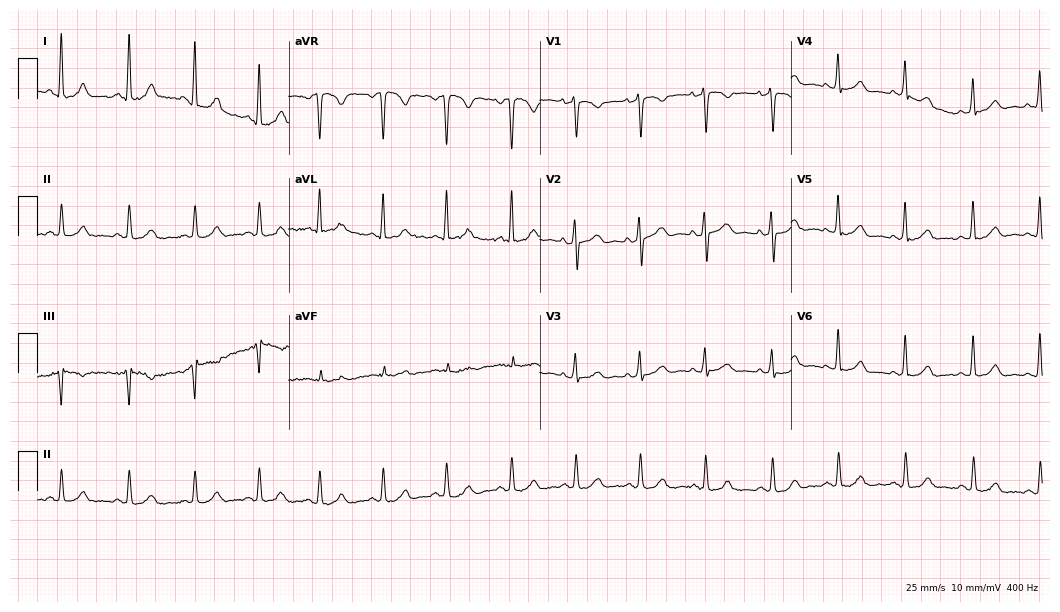
12-lead ECG (10.2-second recording at 400 Hz) from a 38-year-old woman. Labelled as a normal ECG.